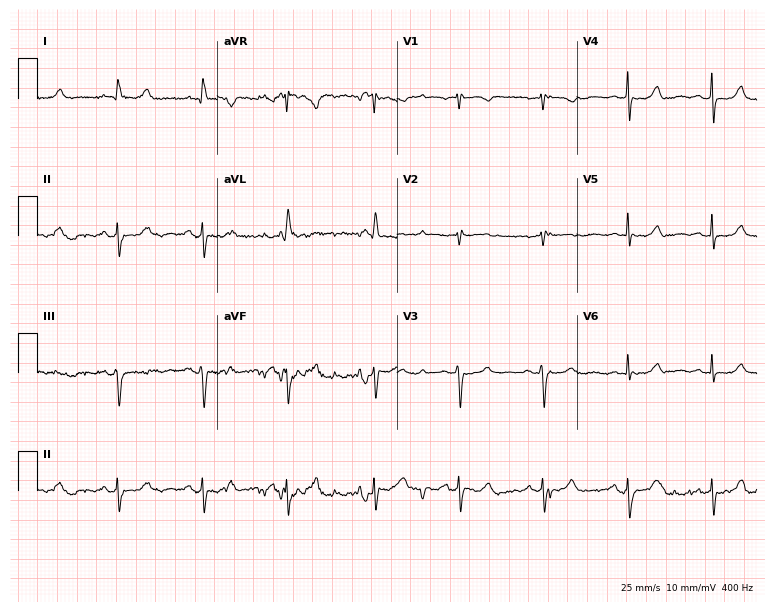
Resting 12-lead electrocardiogram (7.3-second recording at 400 Hz). Patient: a 71-year-old female. None of these six findings is recorded: first-degree AV block, right bundle branch block, left bundle branch block, sinus bradycardia, atrial fibrillation, sinus tachycardia.